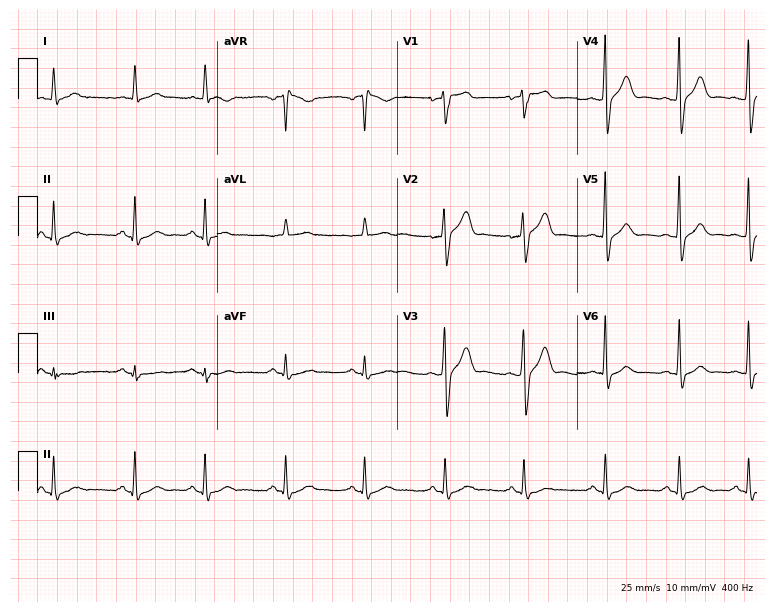
ECG — a male, 69 years old. Screened for six findings — first-degree AV block, right bundle branch block, left bundle branch block, sinus bradycardia, atrial fibrillation, sinus tachycardia — none is recorded. Findings outside these six are not listed.